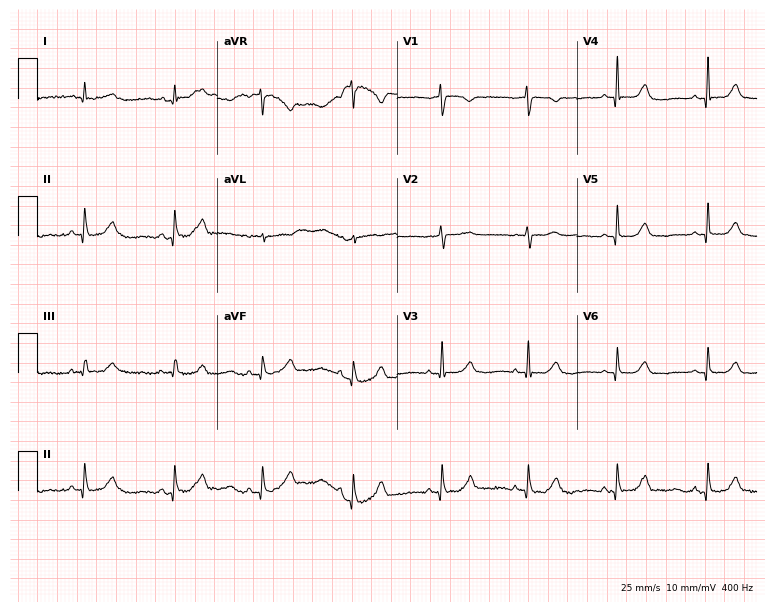
Electrocardiogram (7.3-second recording at 400 Hz), a 71-year-old woman. Overall reading on record: normal ECG.